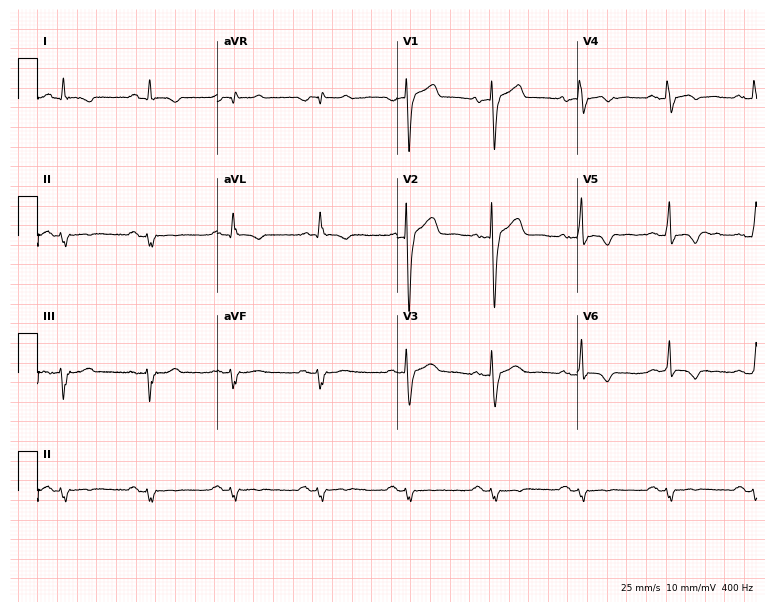
12-lead ECG (7.3-second recording at 400 Hz) from a male patient, 38 years old. Screened for six findings — first-degree AV block, right bundle branch block, left bundle branch block, sinus bradycardia, atrial fibrillation, sinus tachycardia — none is recorded.